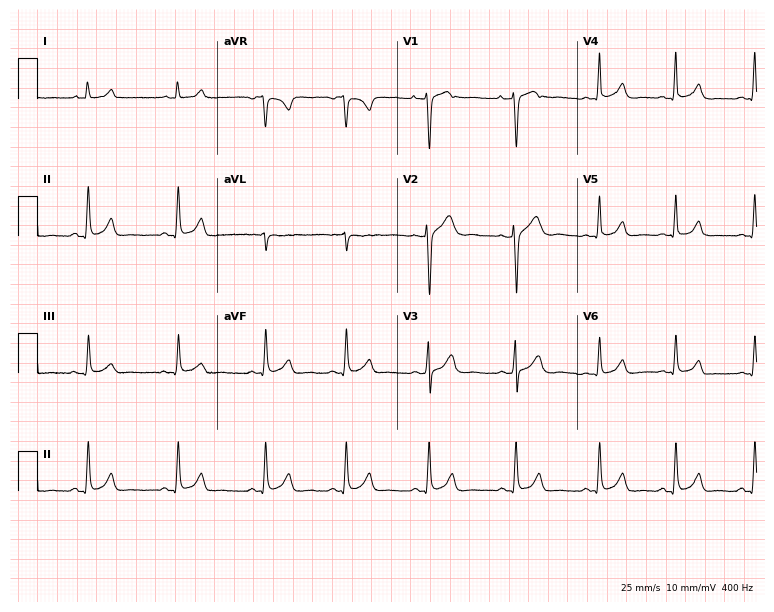
12-lead ECG from a 30-year-old female patient. Recorded interpretation: within normal limits.